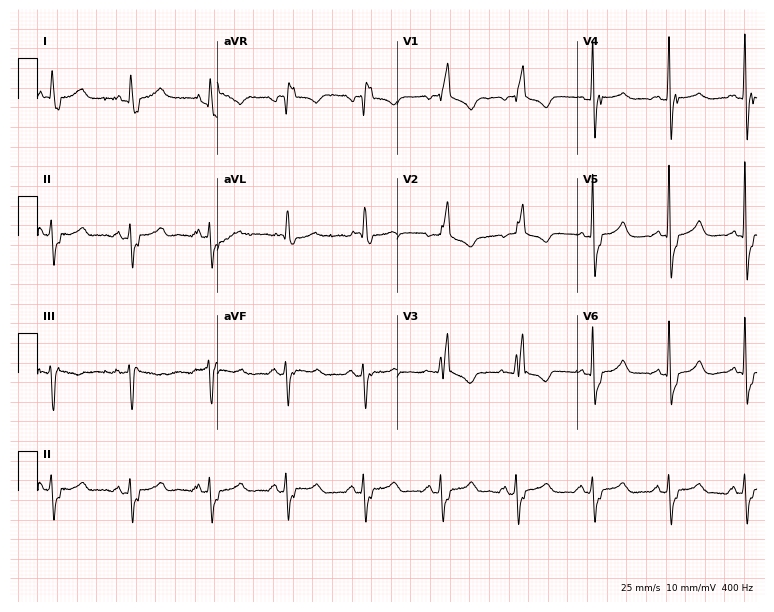
Electrocardiogram (7.3-second recording at 400 Hz), a 79-year-old female patient. Interpretation includes right bundle branch block (RBBB).